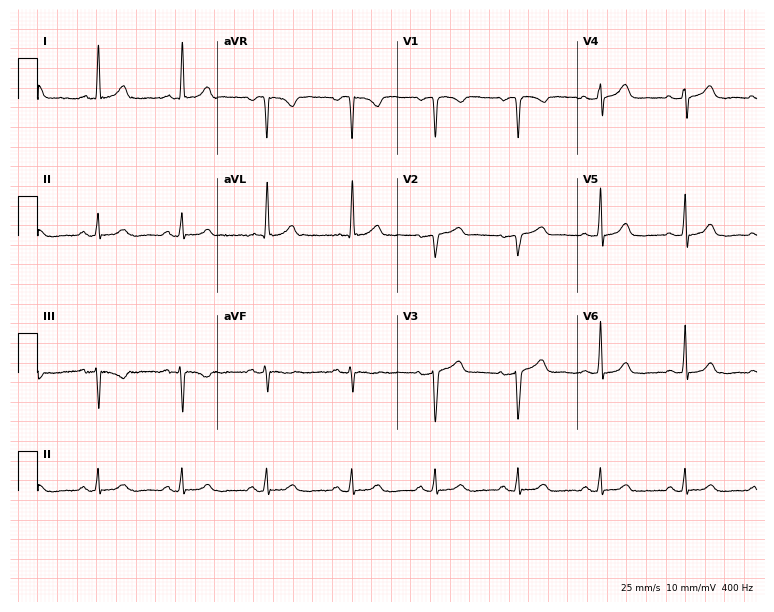
12-lead ECG from a female, 47 years old (7.3-second recording at 400 Hz). No first-degree AV block, right bundle branch block, left bundle branch block, sinus bradycardia, atrial fibrillation or sinus tachycardia recorded for this tracing.